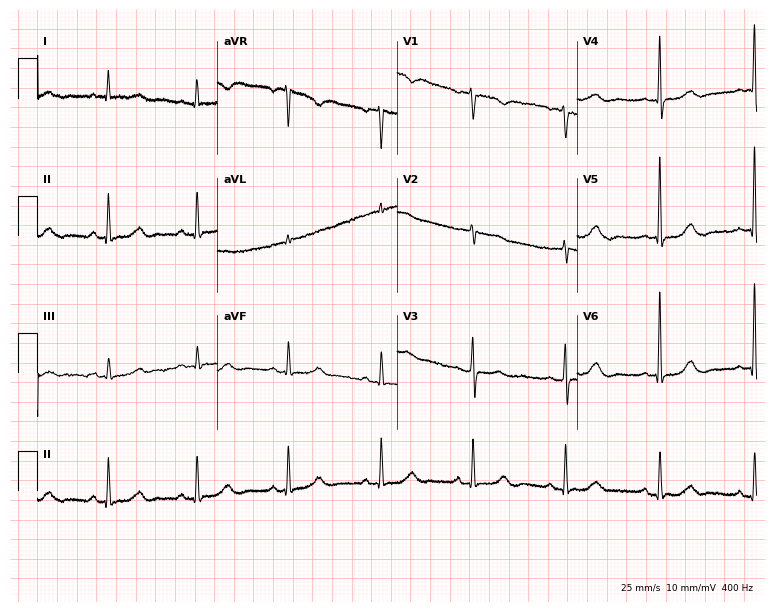
12-lead ECG from a woman, 53 years old. No first-degree AV block, right bundle branch block, left bundle branch block, sinus bradycardia, atrial fibrillation or sinus tachycardia recorded for this tracing.